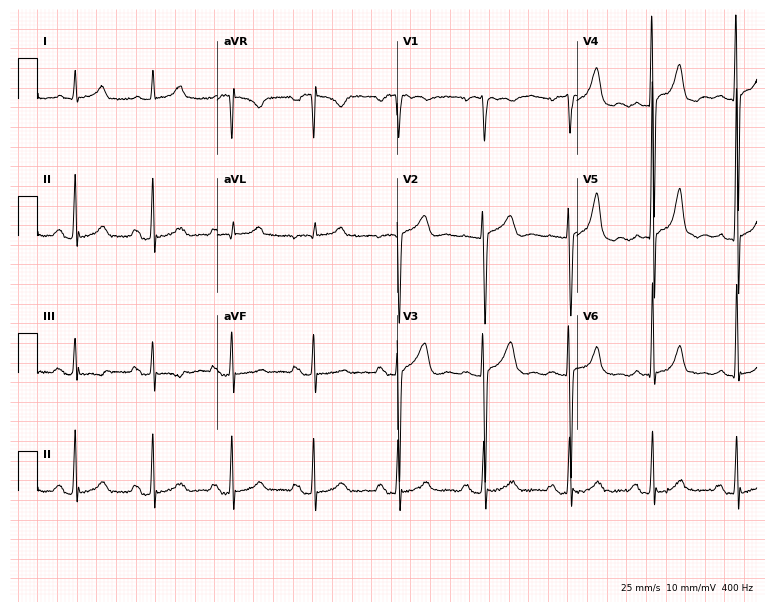
Electrocardiogram (7.3-second recording at 400 Hz), a female patient, 77 years old. Of the six screened findings (first-degree AV block, right bundle branch block, left bundle branch block, sinus bradycardia, atrial fibrillation, sinus tachycardia), none is recorded. Other findings, if any, are not listed.